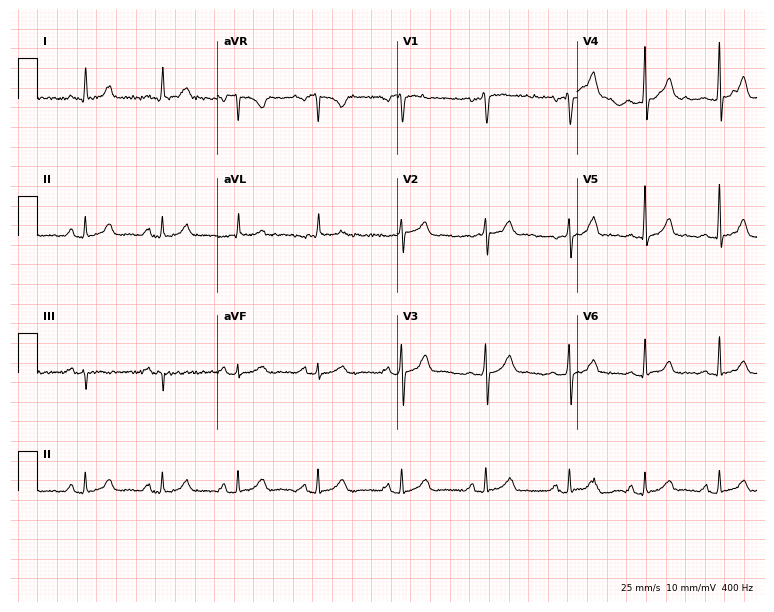
12-lead ECG from a 34-year-old female patient. Labelled as a normal ECG.